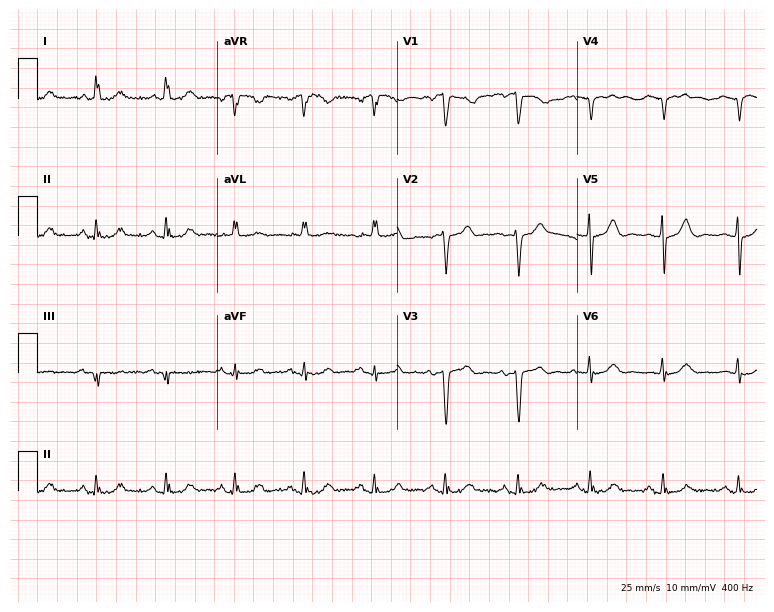
Electrocardiogram, a 61-year-old woman. Overall reading on record: normal ECG.